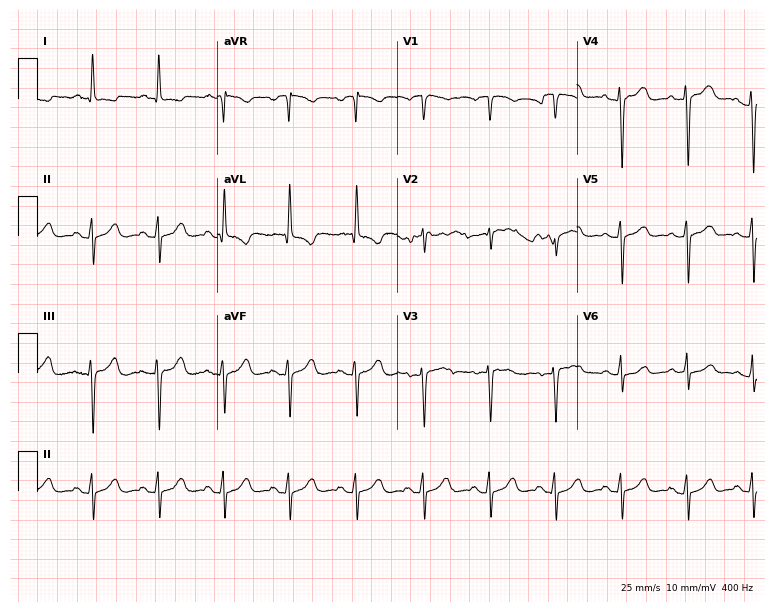
Resting 12-lead electrocardiogram (7.3-second recording at 400 Hz). Patient: a 64-year-old female. None of these six findings is recorded: first-degree AV block, right bundle branch block (RBBB), left bundle branch block (LBBB), sinus bradycardia, atrial fibrillation (AF), sinus tachycardia.